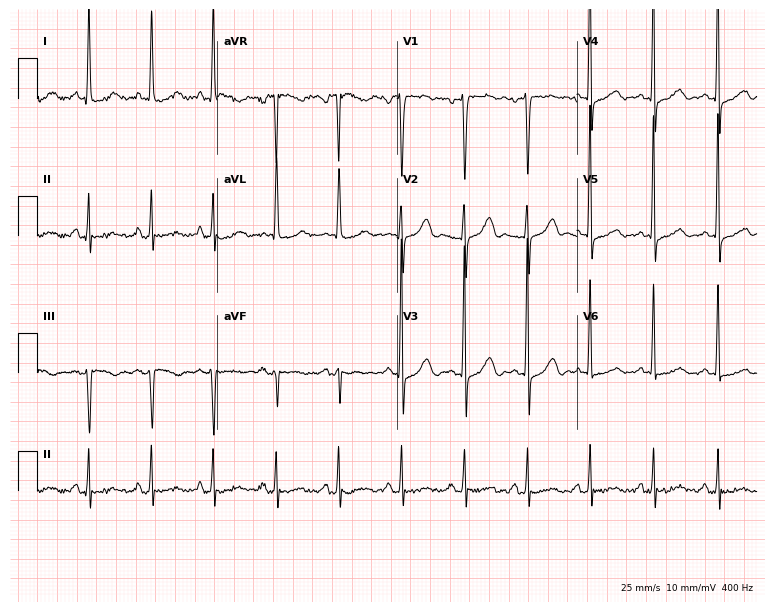
12-lead ECG from an 82-year-old woman. Recorded interpretation: within normal limits.